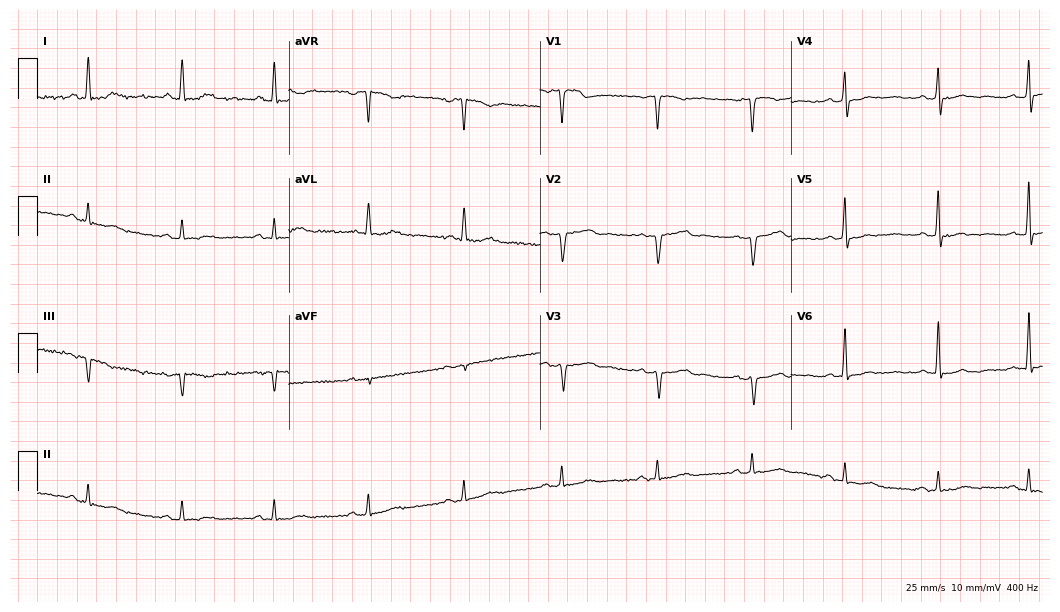
ECG — a 54-year-old male patient. Screened for six findings — first-degree AV block, right bundle branch block, left bundle branch block, sinus bradycardia, atrial fibrillation, sinus tachycardia — none is recorded.